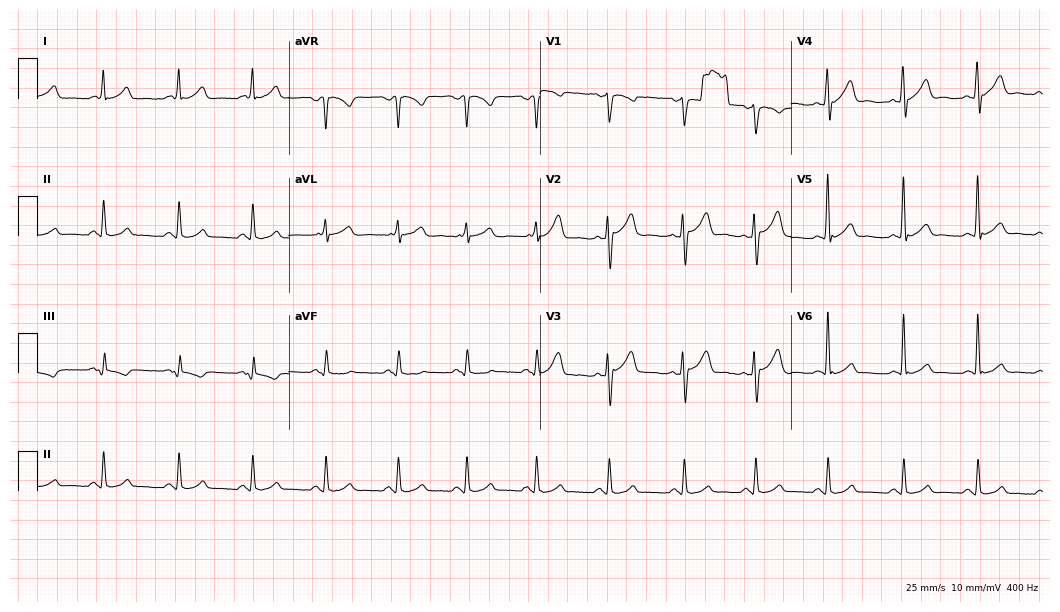
12-lead ECG from a male patient, 30 years old. Labelled as a normal ECG.